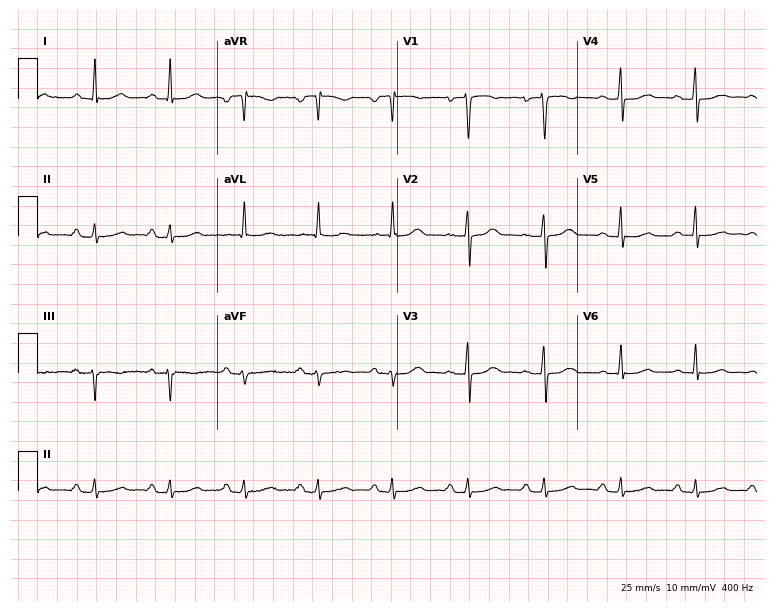
12-lead ECG from a female patient, 51 years old (7.3-second recording at 400 Hz). No first-degree AV block, right bundle branch block, left bundle branch block, sinus bradycardia, atrial fibrillation or sinus tachycardia recorded for this tracing. Only these six findings were labelled.